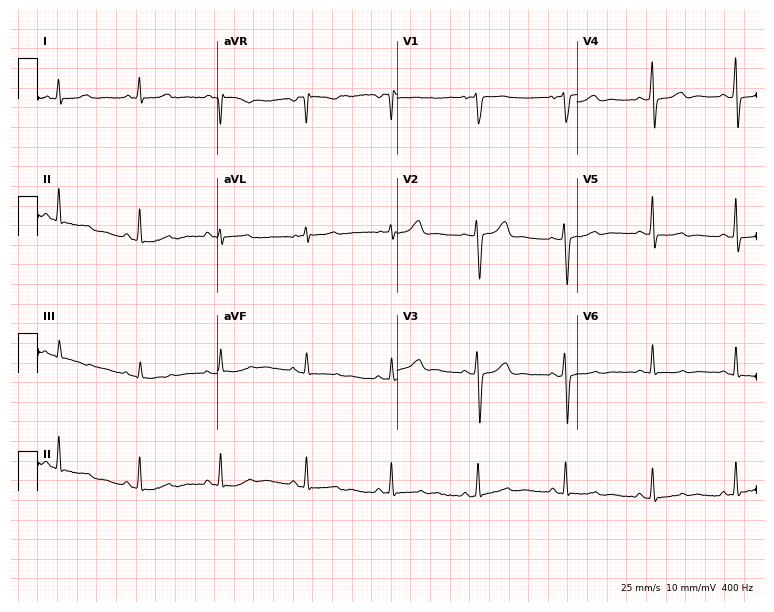
12-lead ECG (7.3-second recording at 400 Hz) from a 31-year-old female. Screened for six findings — first-degree AV block, right bundle branch block (RBBB), left bundle branch block (LBBB), sinus bradycardia, atrial fibrillation (AF), sinus tachycardia — none is recorded.